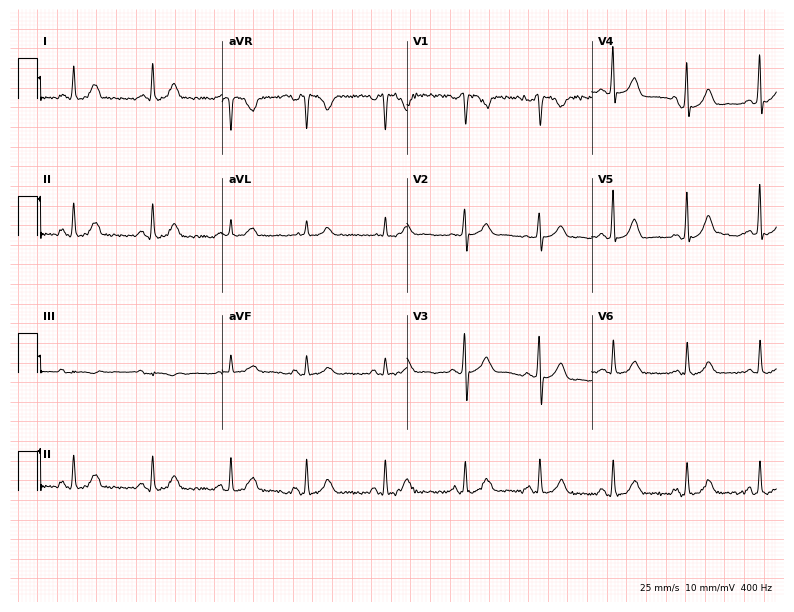
12-lead ECG from a female, 19 years old. Labelled as a normal ECG.